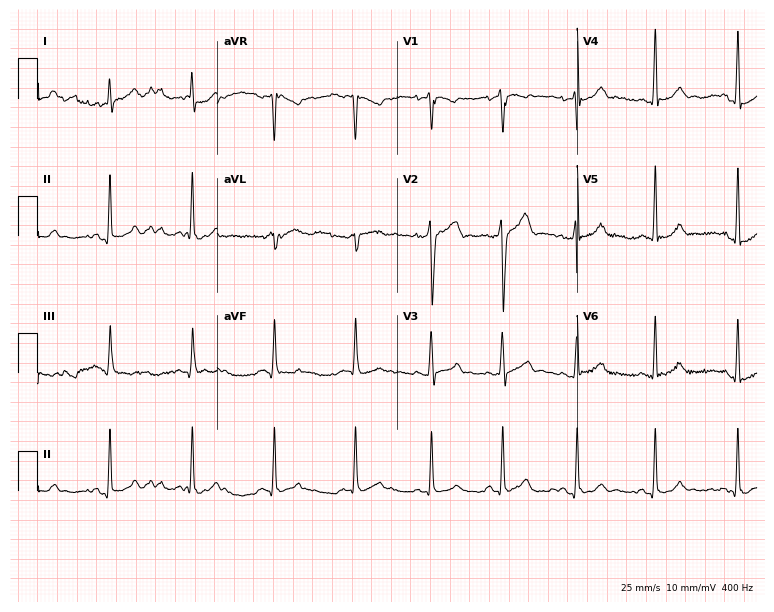
12-lead ECG from a 23-year-old male patient. Labelled as a normal ECG.